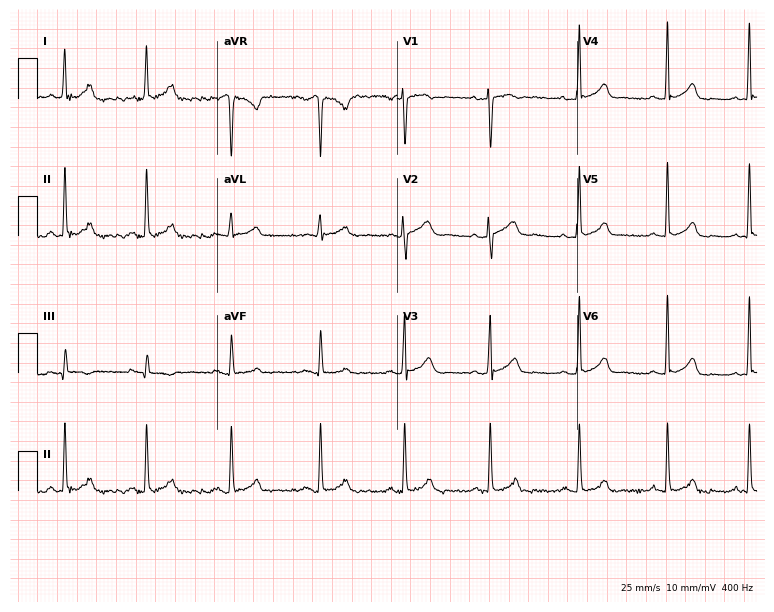
Standard 12-lead ECG recorded from a female patient, 30 years old (7.3-second recording at 400 Hz). None of these six findings is recorded: first-degree AV block, right bundle branch block, left bundle branch block, sinus bradycardia, atrial fibrillation, sinus tachycardia.